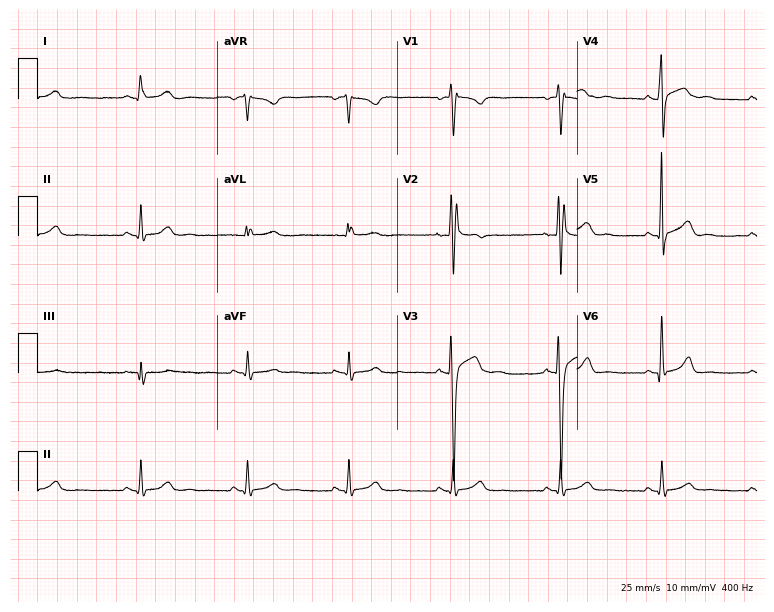
12-lead ECG from a 20-year-old male patient. Recorded interpretation: within normal limits.